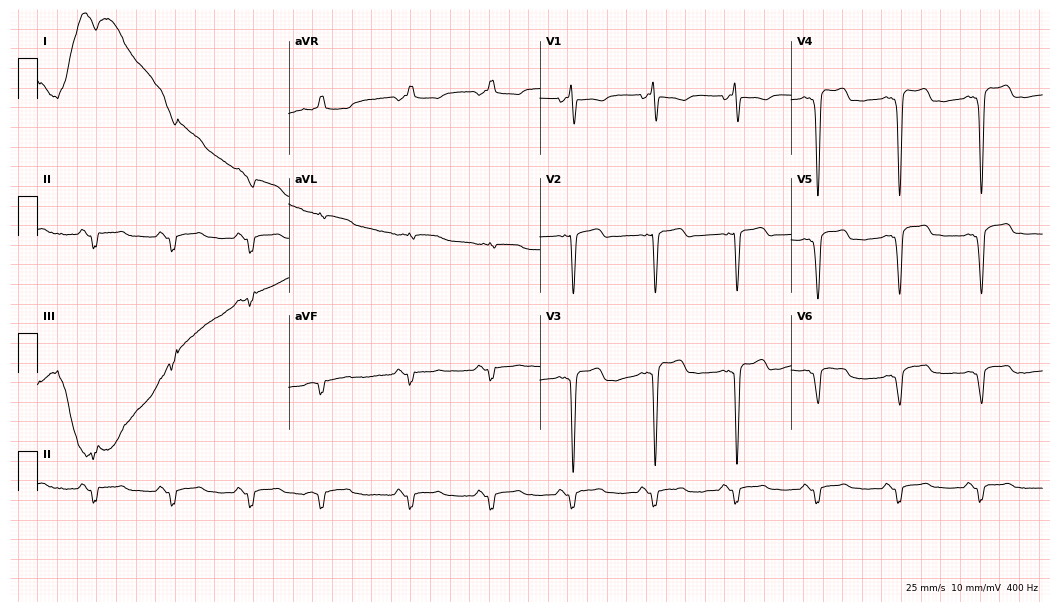
ECG — a male patient, 61 years old. Screened for six findings — first-degree AV block, right bundle branch block, left bundle branch block, sinus bradycardia, atrial fibrillation, sinus tachycardia — none is recorded.